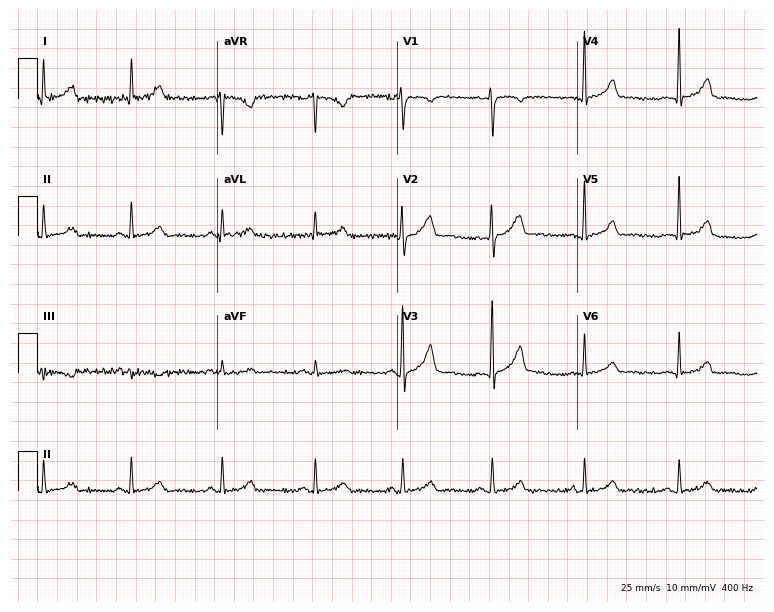
Electrocardiogram, a woman, 32 years old. Overall reading on record: normal ECG.